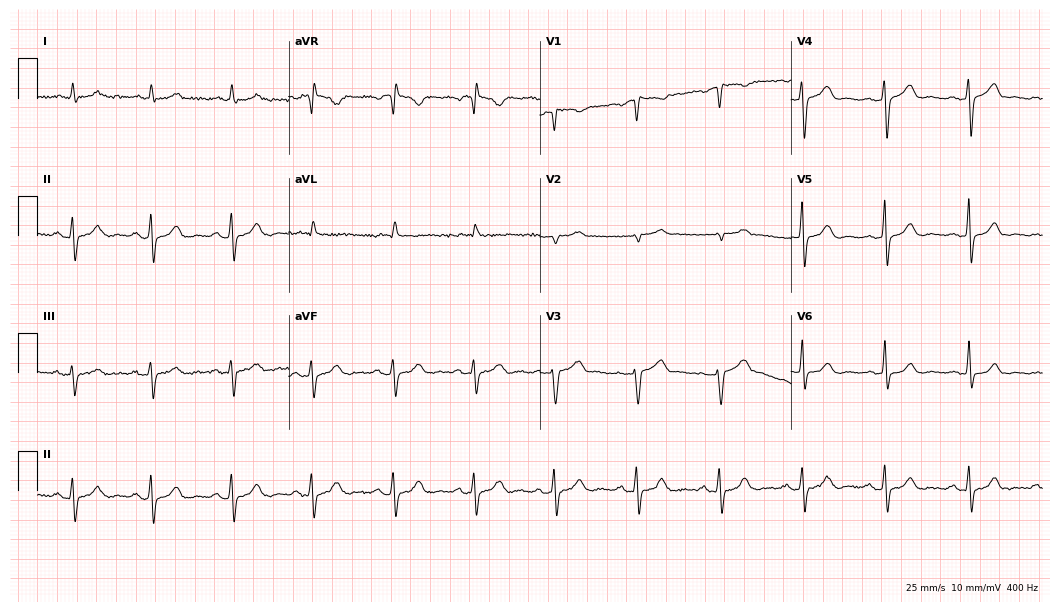
Standard 12-lead ECG recorded from a man, 59 years old. None of these six findings is recorded: first-degree AV block, right bundle branch block, left bundle branch block, sinus bradycardia, atrial fibrillation, sinus tachycardia.